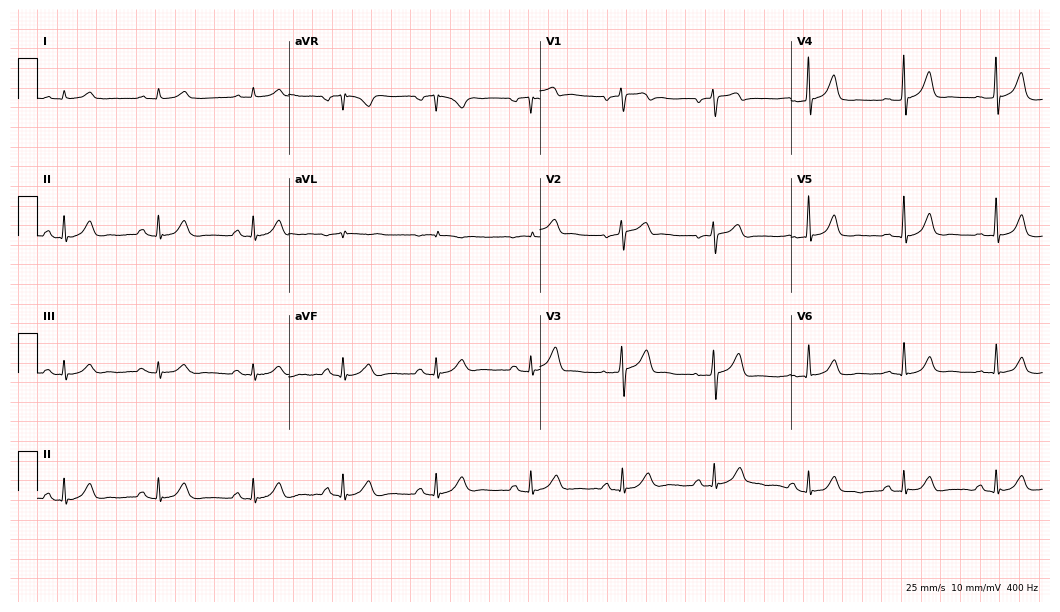
Electrocardiogram (10.2-second recording at 400 Hz), a male, 60 years old. Overall reading on record: normal ECG.